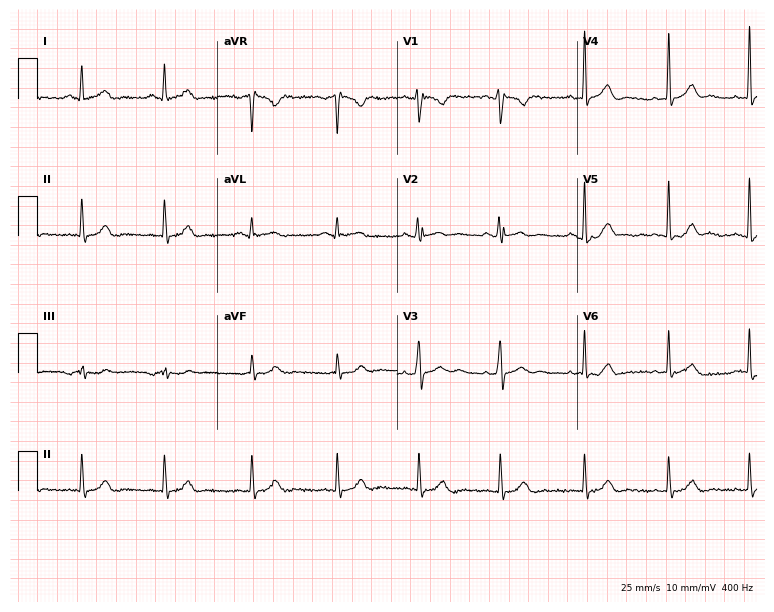
12-lead ECG from a 38-year-old male (7.3-second recording at 400 Hz). Recorded interpretation: within normal limits.